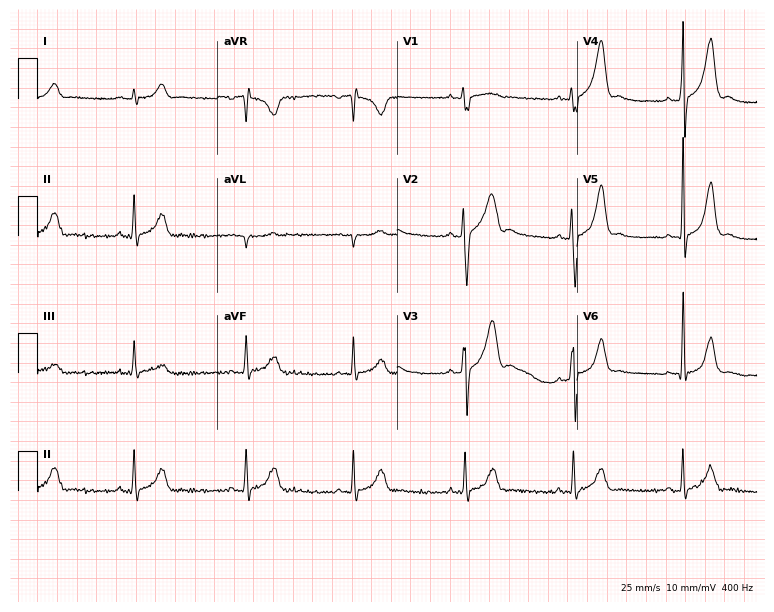
12-lead ECG from a male, 18 years old. Labelled as a normal ECG.